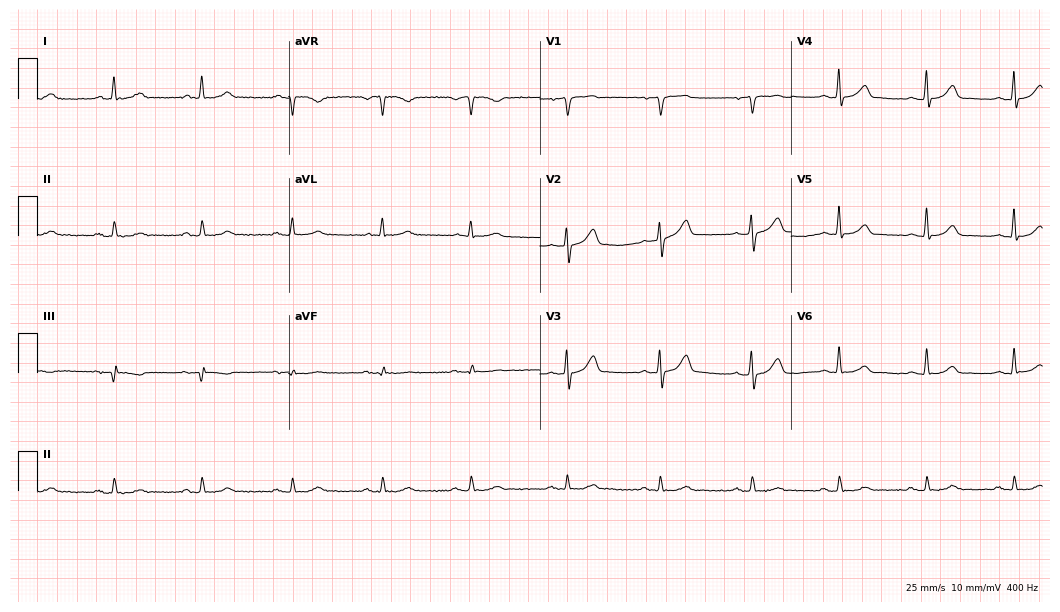
Electrocardiogram, a male, 61 years old. Overall reading on record: normal ECG.